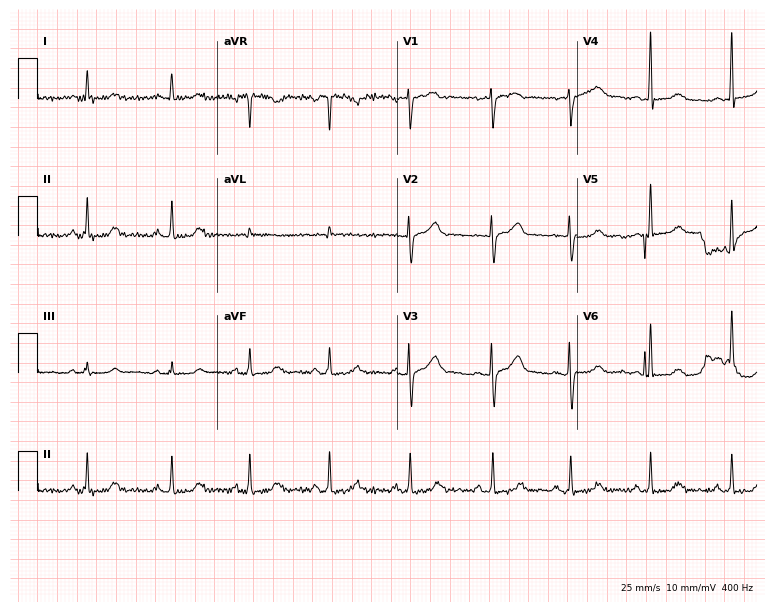
Resting 12-lead electrocardiogram (7.3-second recording at 400 Hz). Patient: a 33-year-old female. None of these six findings is recorded: first-degree AV block, right bundle branch block, left bundle branch block, sinus bradycardia, atrial fibrillation, sinus tachycardia. Findings outside these six are not listed.